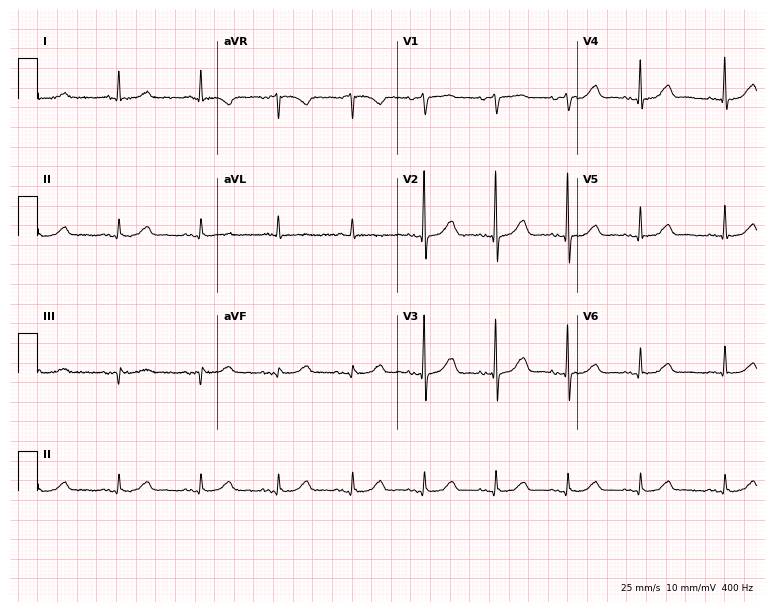
12-lead ECG (7.3-second recording at 400 Hz) from a 76-year-old female patient. Labelled as a normal ECG.